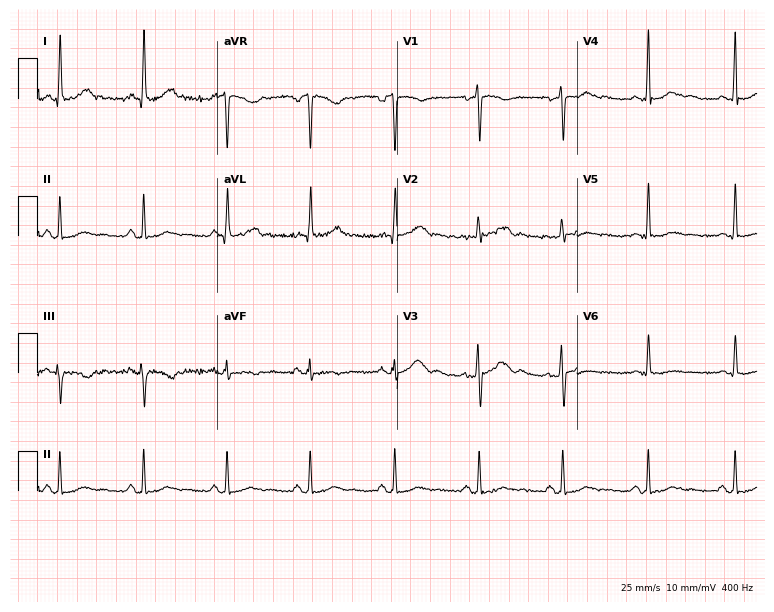
Resting 12-lead electrocardiogram (7.3-second recording at 400 Hz). Patient: a 42-year-old female. Read as a normal ECG.